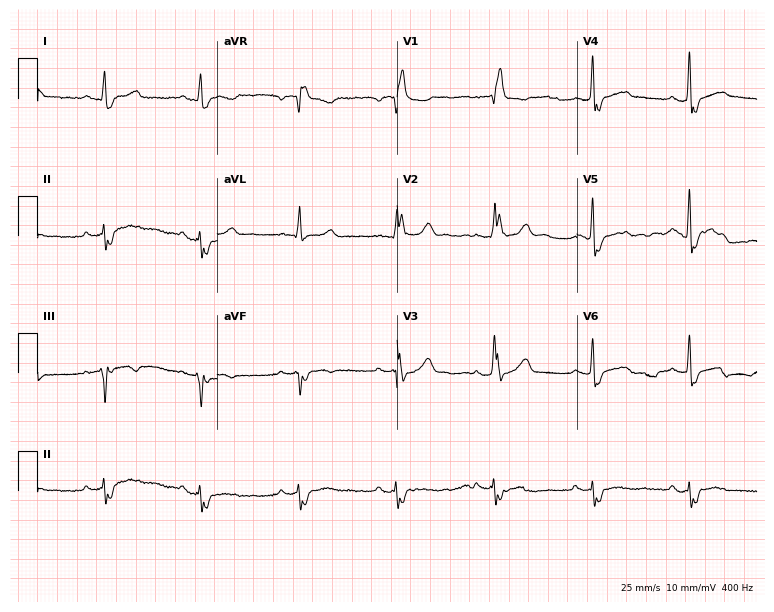
Resting 12-lead electrocardiogram. Patient: a male, 50 years old. The tracing shows right bundle branch block (RBBB).